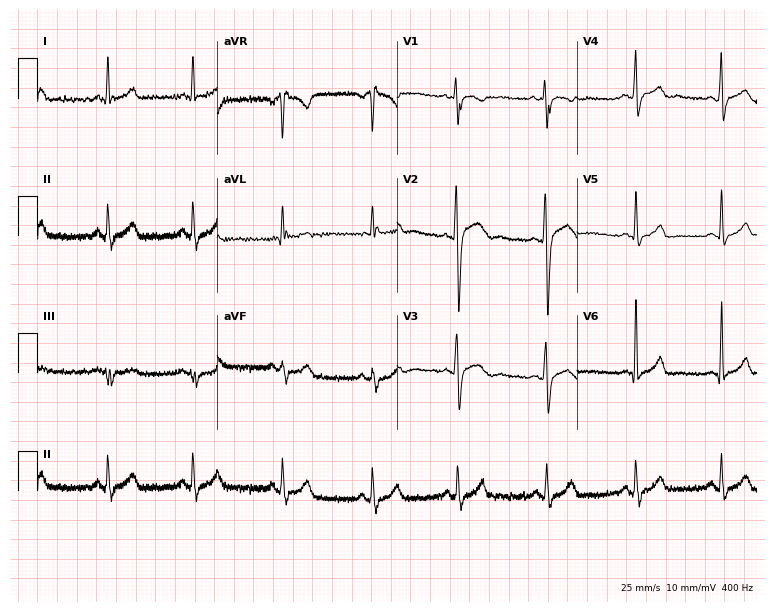
12-lead ECG (7.3-second recording at 400 Hz) from a man, 33 years old. Labelled as a normal ECG.